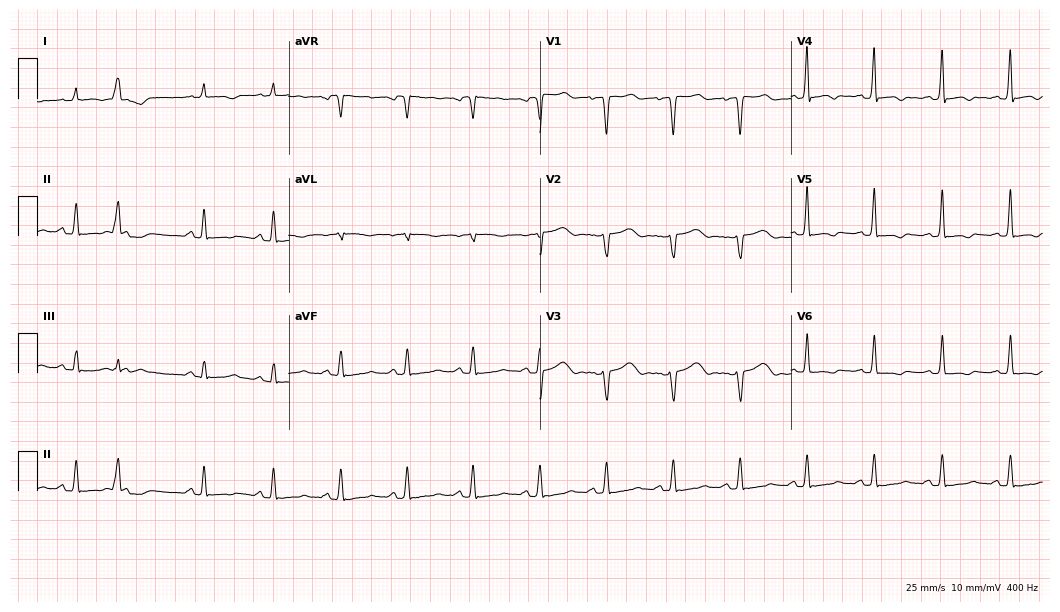
ECG — a 69-year-old female. Screened for six findings — first-degree AV block, right bundle branch block, left bundle branch block, sinus bradycardia, atrial fibrillation, sinus tachycardia — none is recorded. Only these six findings were labelled.